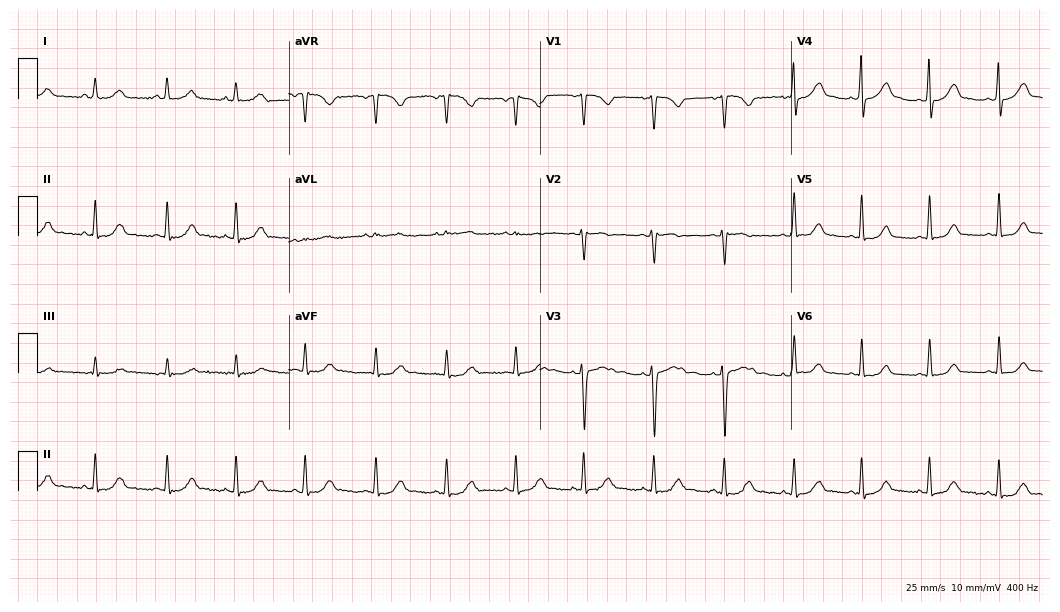
12-lead ECG (10.2-second recording at 400 Hz) from a 29-year-old female patient. Screened for six findings — first-degree AV block, right bundle branch block (RBBB), left bundle branch block (LBBB), sinus bradycardia, atrial fibrillation (AF), sinus tachycardia — none is recorded.